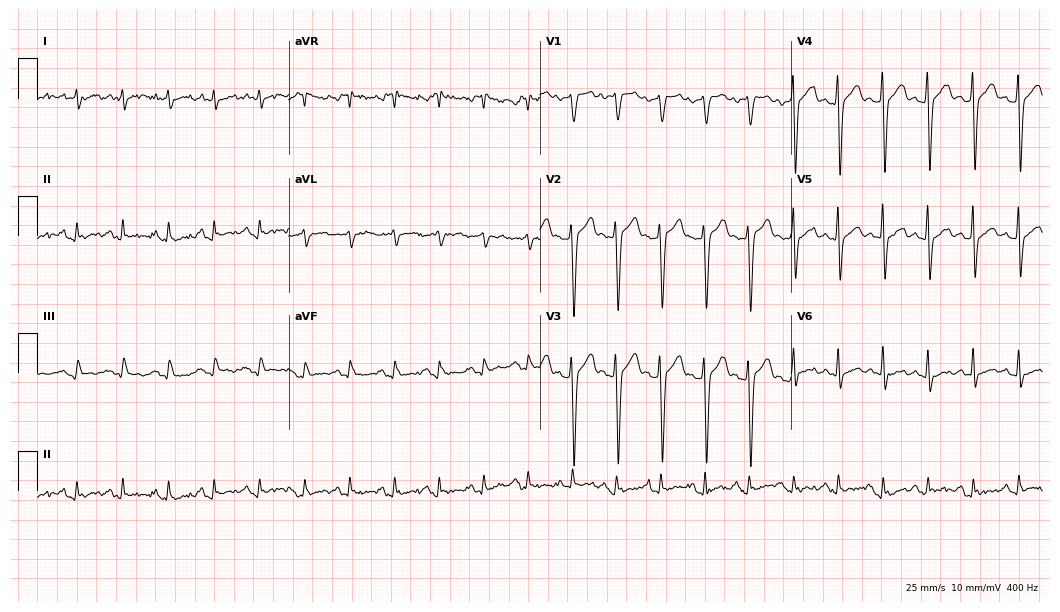
Standard 12-lead ECG recorded from a male, 44 years old (10.2-second recording at 400 Hz). None of these six findings is recorded: first-degree AV block, right bundle branch block (RBBB), left bundle branch block (LBBB), sinus bradycardia, atrial fibrillation (AF), sinus tachycardia.